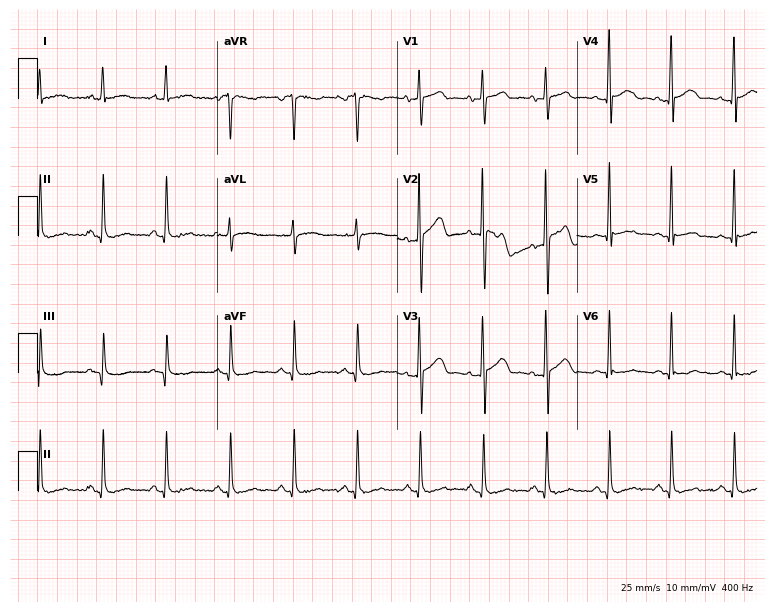
Electrocardiogram (7.3-second recording at 400 Hz), a 55-year-old male. Of the six screened findings (first-degree AV block, right bundle branch block, left bundle branch block, sinus bradycardia, atrial fibrillation, sinus tachycardia), none is recorded. Findings outside these six are not listed.